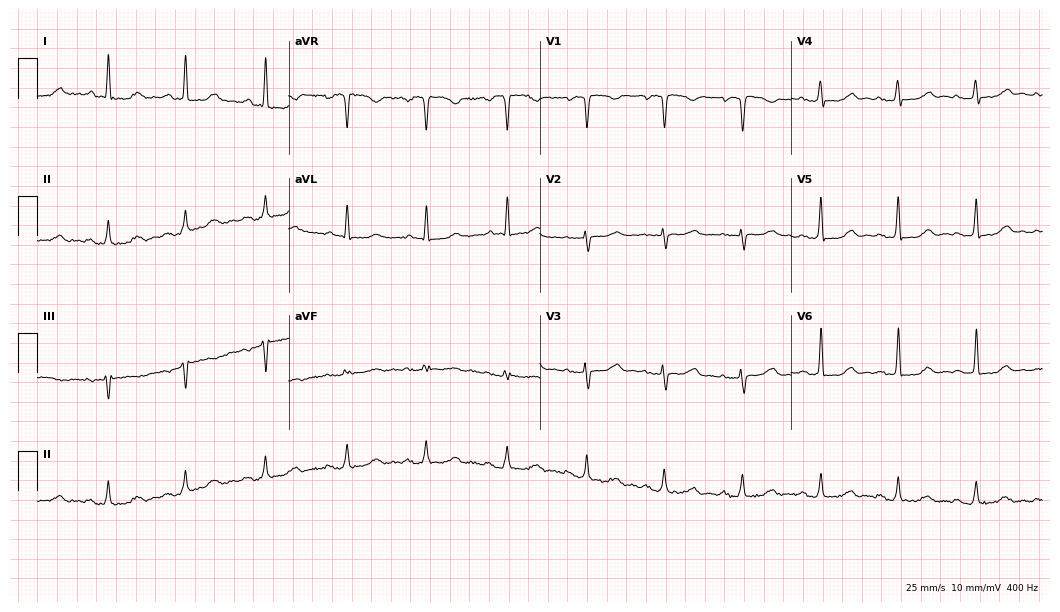
12-lead ECG from a 55-year-old female patient. Labelled as a normal ECG.